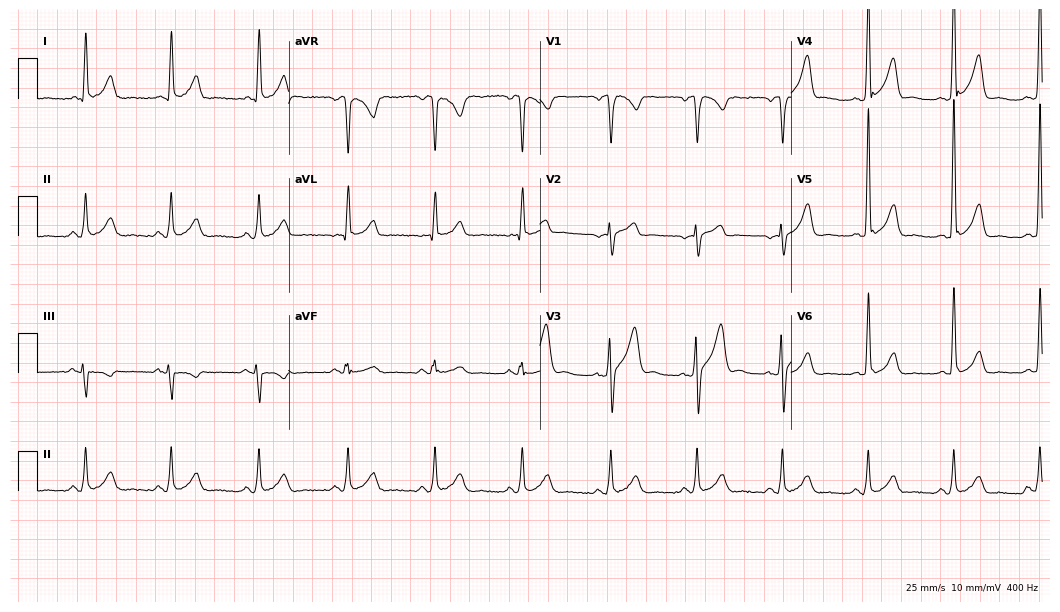
ECG — a male, 41 years old. Labelled as a normal ECG.